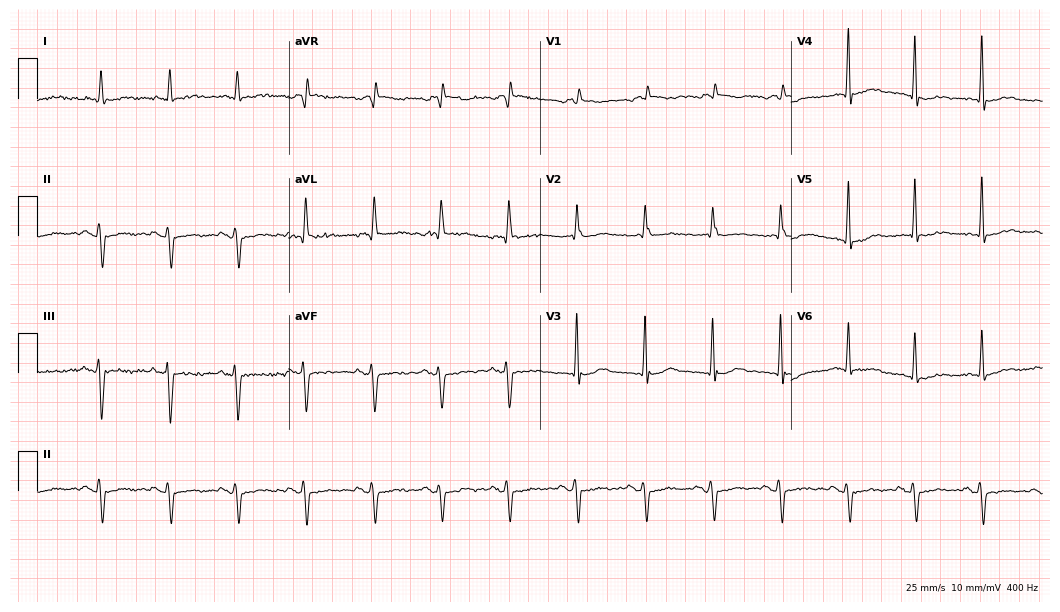
12-lead ECG from a male, 83 years old. Screened for six findings — first-degree AV block, right bundle branch block (RBBB), left bundle branch block (LBBB), sinus bradycardia, atrial fibrillation (AF), sinus tachycardia — none is recorded. Only these six findings were labelled.